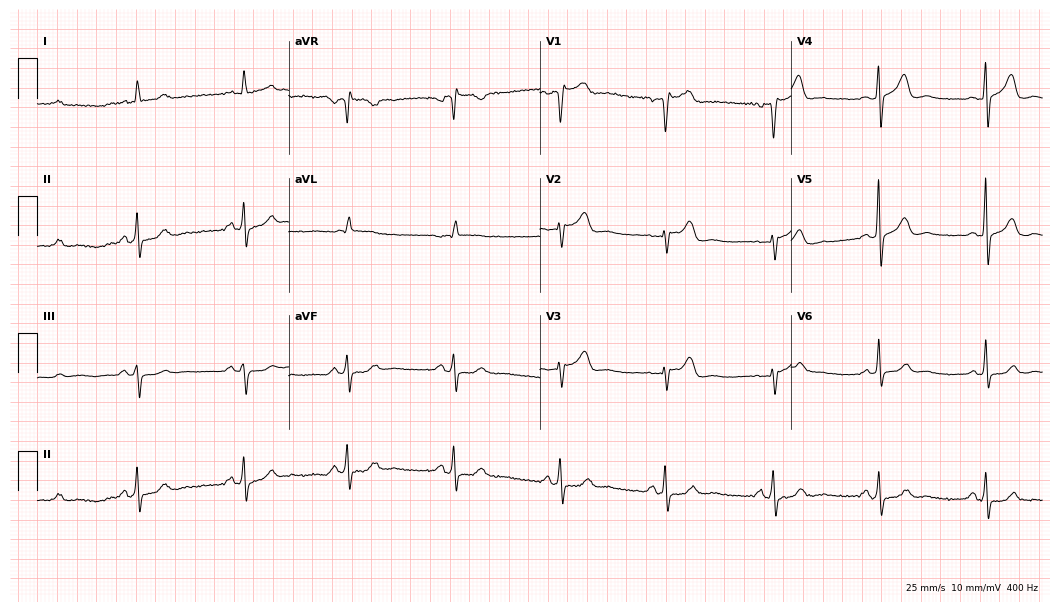
Standard 12-lead ECG recorded from a 71-year-old female. None of these six findings is recorded: first-degree AV block, right bundle branch block, left bundle branch block, sinus bradycardia, atrial fibrillation, sinus tachycardia. Only these six findings were labelled.